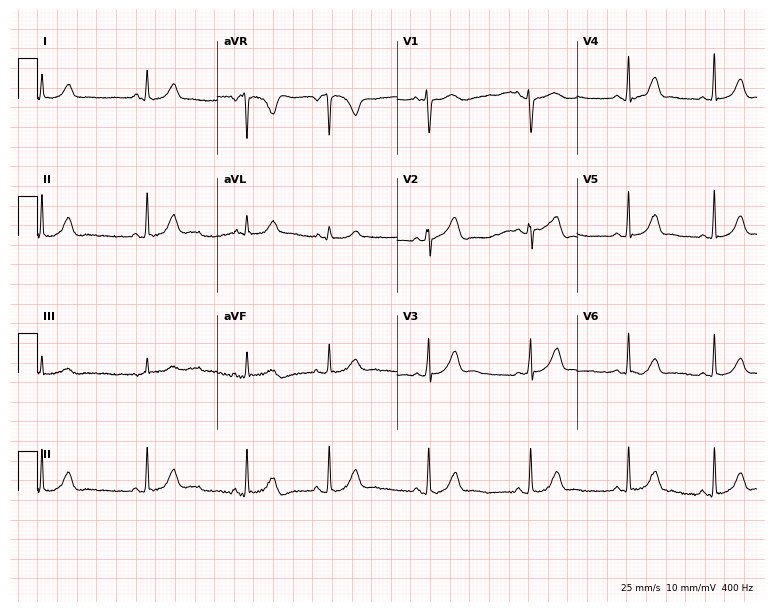
Standard 12-lead ECG recorded from a female, 17 years old. None of these six findings is recorded: first-degree AV block, right bundle branch block, left bundle branch block, sinus bradycardia, atrial fibrillation, sinus tachycardia. Only these six findings were labelled.